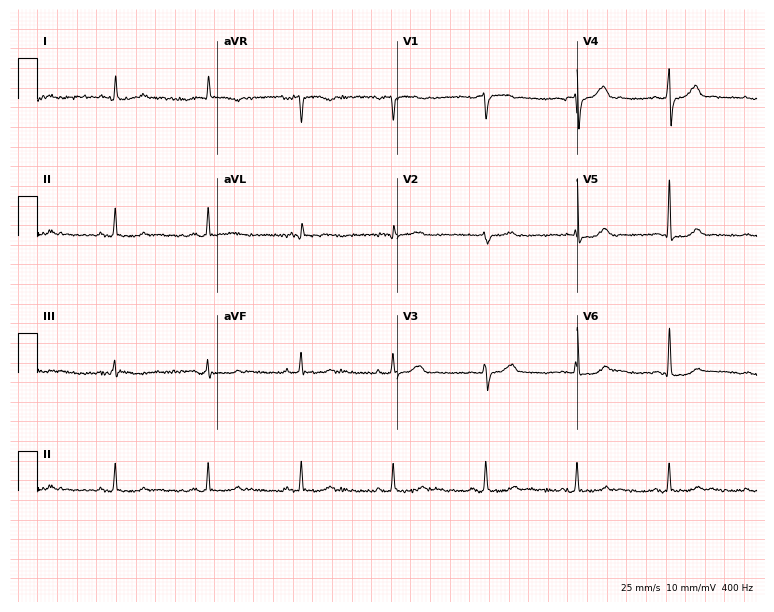
ECG (7.3-second recording at 400 Hz) — a man, 72 years old. Screened for six findings — first-degree AV block, right bundle branch block, left bundle branch block, sinus bradycardia, atrial fibrillation, sinus tachycardia — none is recorded. Other findings, if any, are not listed.